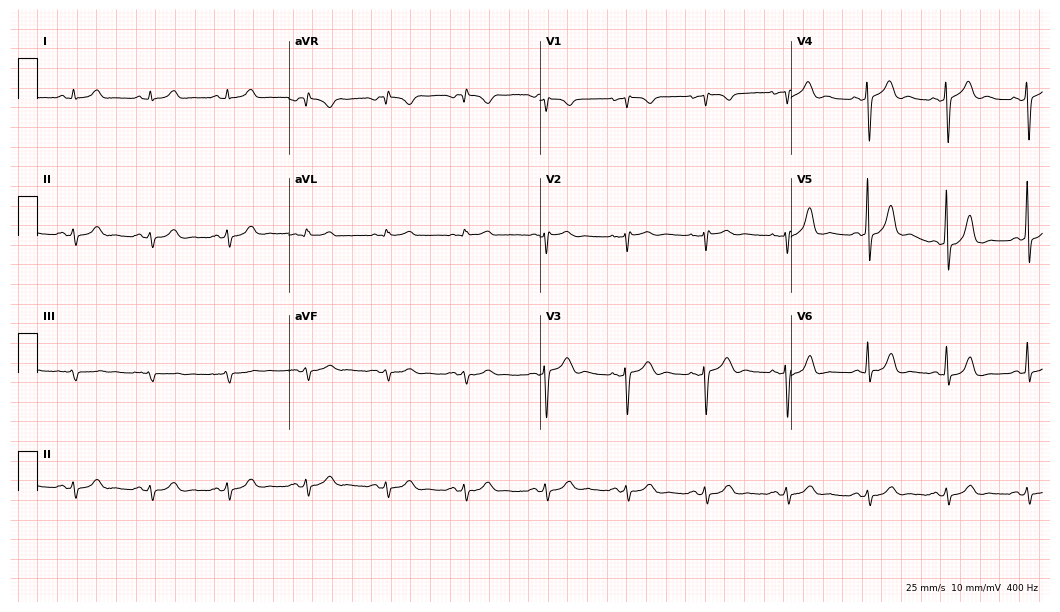
12-lead ECG (10.2-second recording at 400 Hz) from a 49-year-old female patient. Labelled as a normal ECG.